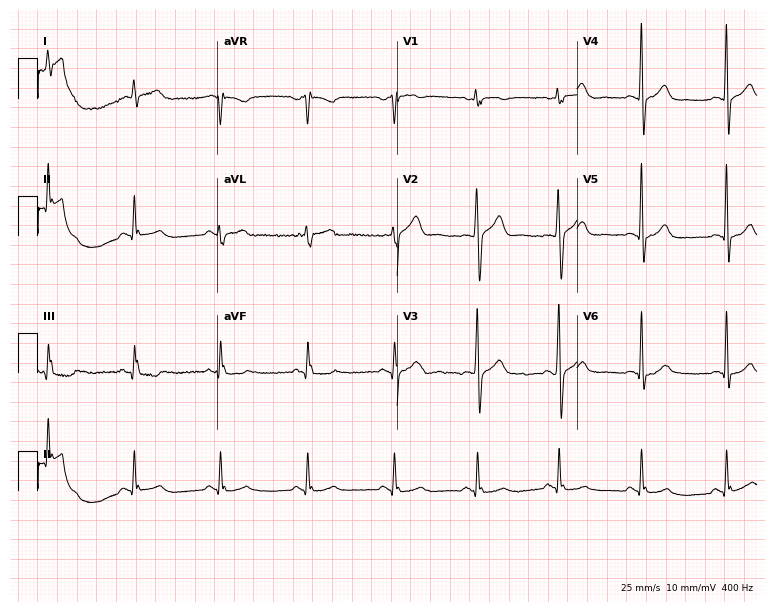
12-lead ECG from a 50-year-old male. Labelled as a normal ECG.